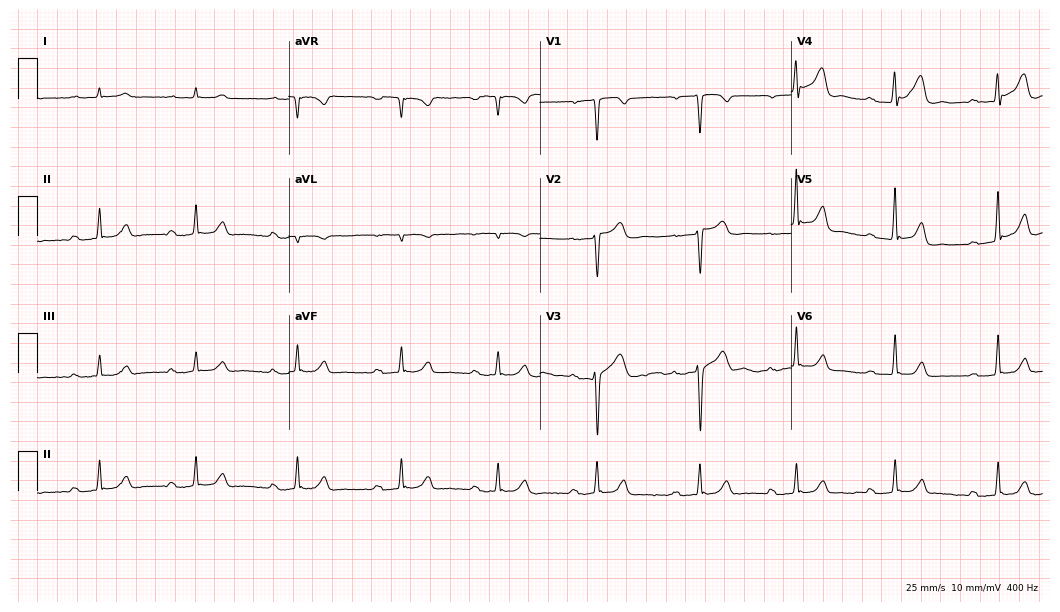
Standard 12-lead ECG recorded from a 40-year-old man (10.2-second recording at 400 Hz). None of these six findings is recorded: first-degree AV block, right bundle branch block (RBBB), left bundle branch block (LBBB), sinus bradycardia, atrial fibrillation (AF), sinus tachycardia. Other findings, if any, are not listed.